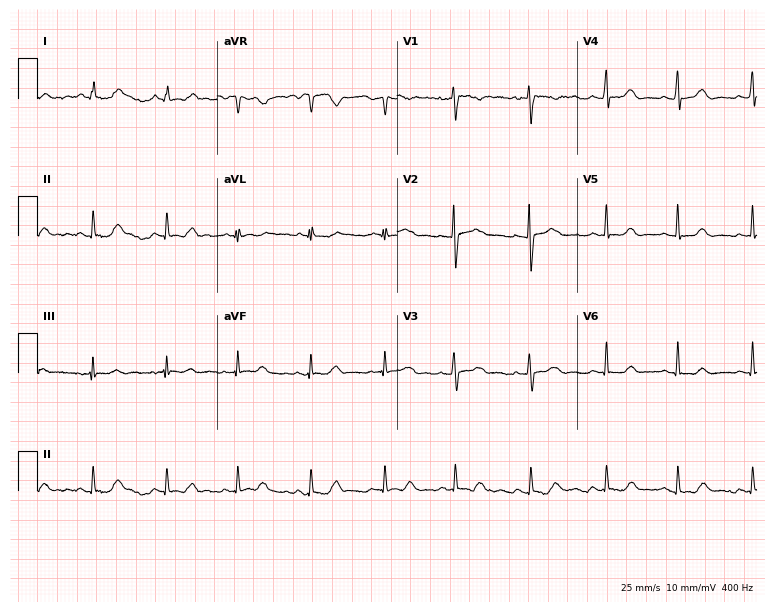
Standard 12-lead ECG recorded from a female patient, 22 years old. Read as a normal ECG.